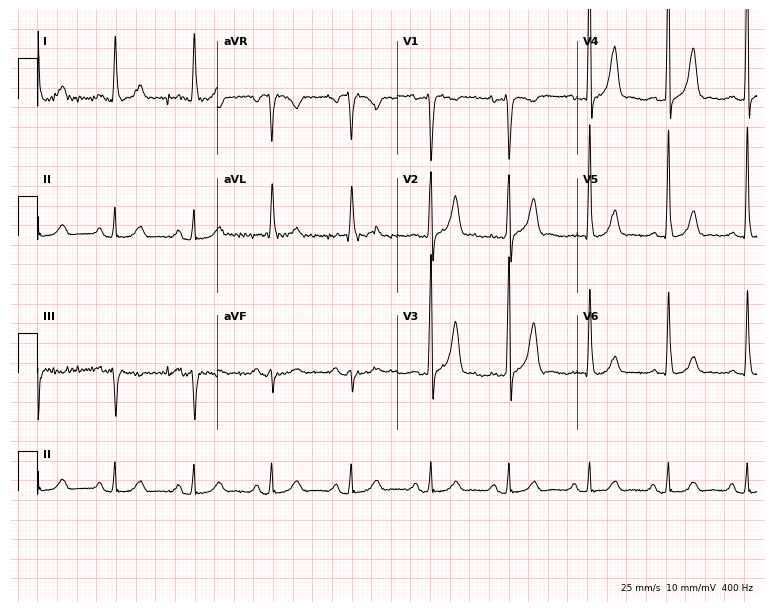
ECG (7.3-second recording at 400 Hz) — a male patient, 71 years old. Screened for six findings — first-degree AV block, right bundle branch block, left bundle branch block, sinus bradycardia, atrial fibrillation, sinus tachycardia — none is recorded.